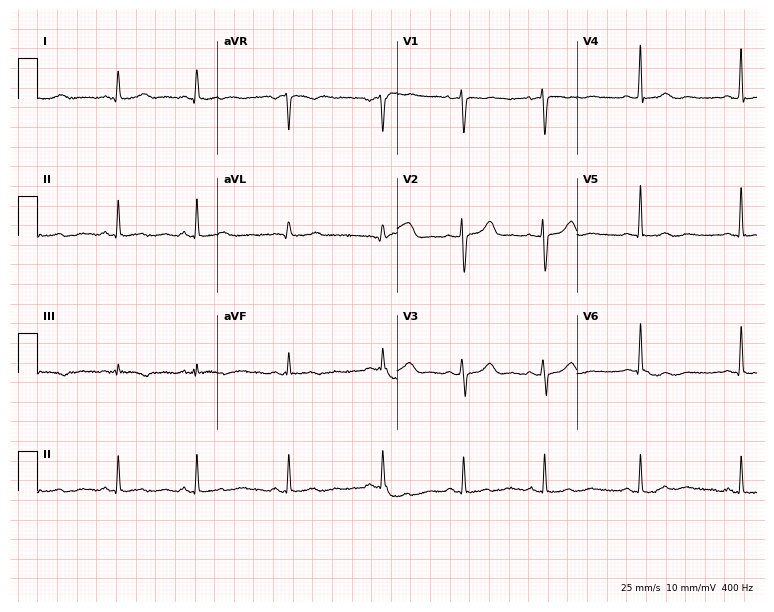
Electrocardiogram, a female, 30 years old. Of the six screened findings (first-degree AV block, right bundle branch block (RBBB), left bundle branch block (LBBB), sinus bradycardia, atrial fibrillation (AF), sinus tachycardia), none is recorded. Only these six findings were labelled.